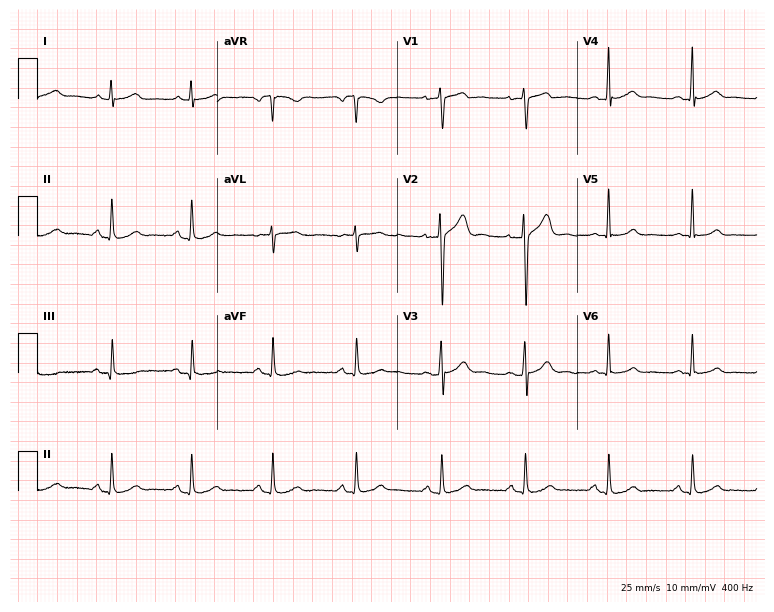
Resting 12-lead electrocardiogram. Patient: a 27-year-old male. None of these six findings is recorded: first-degree AV block, right bundle branch block, left bundle branch block, sinus bradycardia, atrial fibrillation, sinus tachycardia.